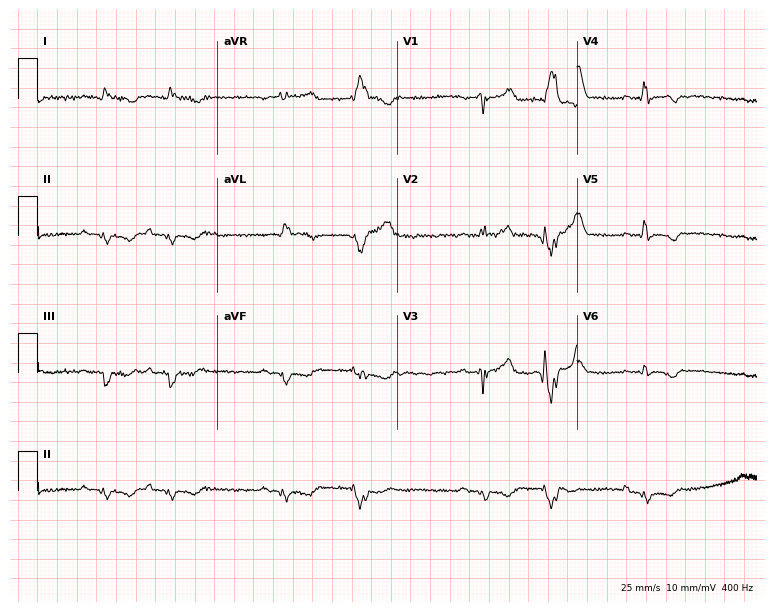
ECG — a 61-year-old male. Screened for six findings — first-degree AV block, right bundle branch block (RBBB), left bundle branch block (LBBB), sinus bradycardia, atrial fibrillation (AF), sinus tachycardia — none is recorded. Findings outside these six are not listed.